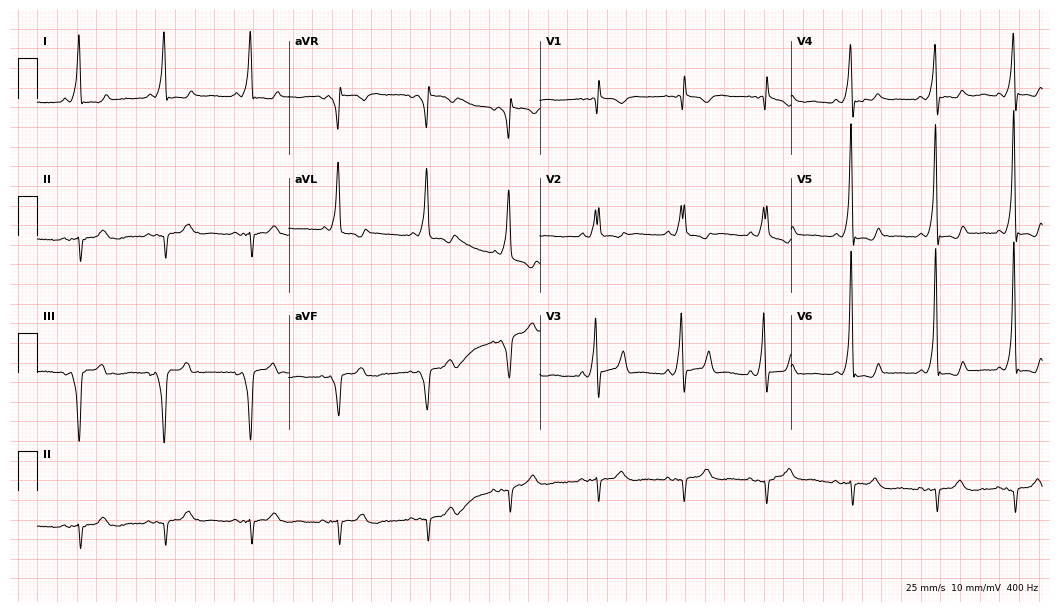
12-lead ECG from a 28-year-old male patient. No first-degree AV block, right bundle branch block, left bundle branch block, sinus bradycardia, atrial fibrillation or sinus tachycardia recorded for this tracing.